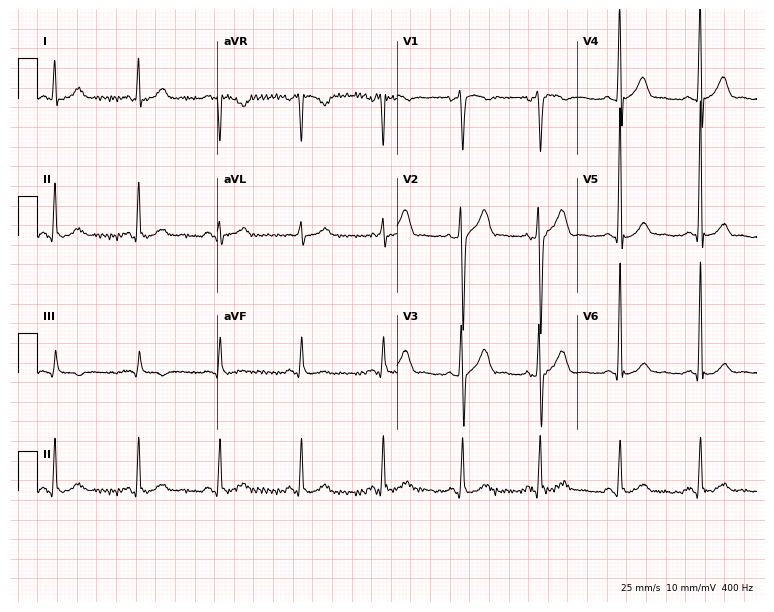
Standard 12-lead ECG recorded from a male, 35 years old (7.3-second recording at 400 Hz). None of these six findings is recorded: first-degree AV block, right bundle branch block, left bundle branch block, sinus bradycardia, atrial fibrillation, sinus tachycardia. Findings outside these six are not listed.